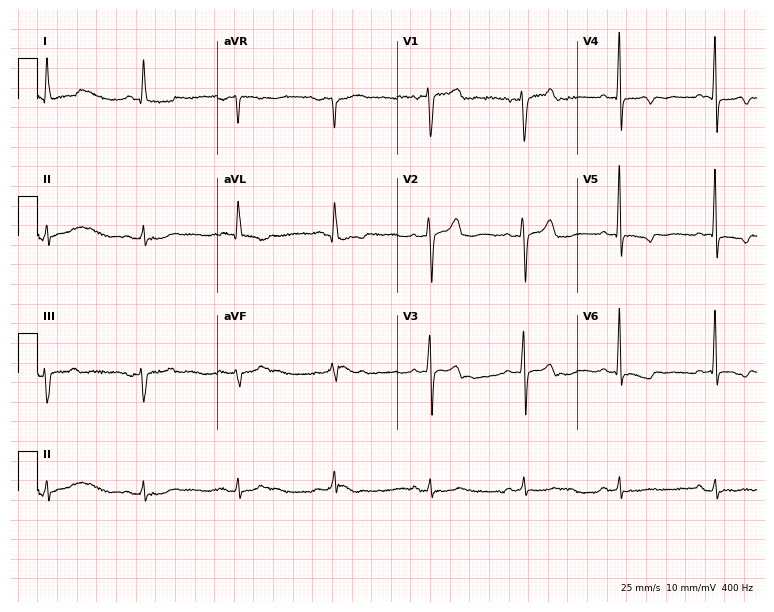
Electrocardiogram, a male patient, 62 years old. Of the six screened findings (first-degree AV block, right bundle branch block, left bundle branch block, sinus bradycardia, atrial fibrillation, sinus tachycardia), none is recorded. Only these six findings were labelled.